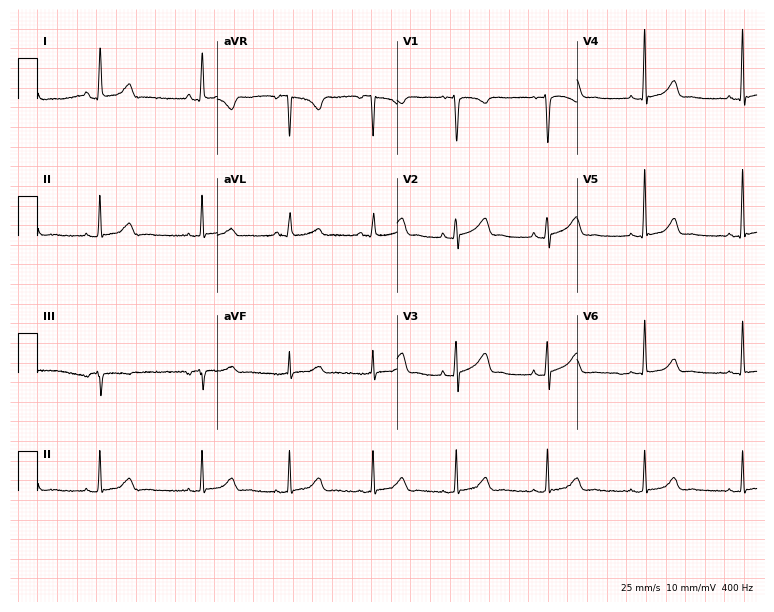
Resting 12-lead electrocardiogram. Patient: a 36-year-old female. None of these six findings is recorded: first-degree AV block, right bundle branch block, left bundle branch block, sinus bradycardia, atrial fibrillation, sinus tachycardia. Findings outside these six are not listed.